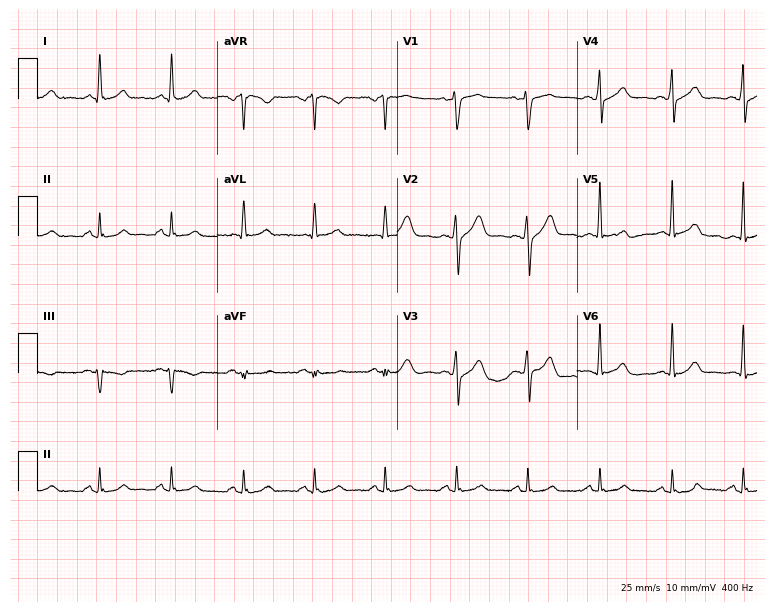
Standard 12-lead ECG recorded from a 50-year-old male patient. None of these six findings is recorded: first-degree AV block, right bundle branch block (RBBB), left bundle branch block (LBBB), sinus bradycardia, atrial fibrillation (AF), sinus tachycardia.